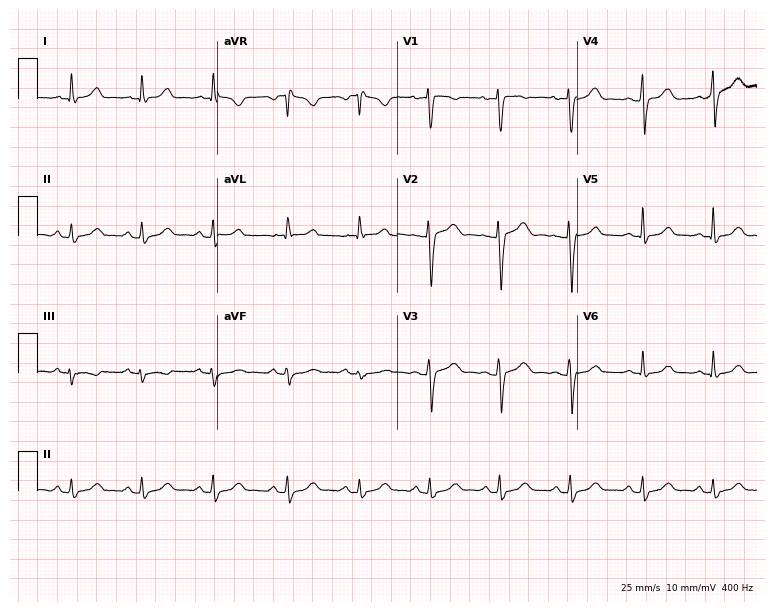
12-lead ECG (7.3-second recording at 400 Hz) from a female patient, 48 years old. Screened for six findings — first-degree AV block, right bundle branch block, left bundle branch block, sinus bradycardia, atrial fibrillation, sinus tachycardia — none is recorded.